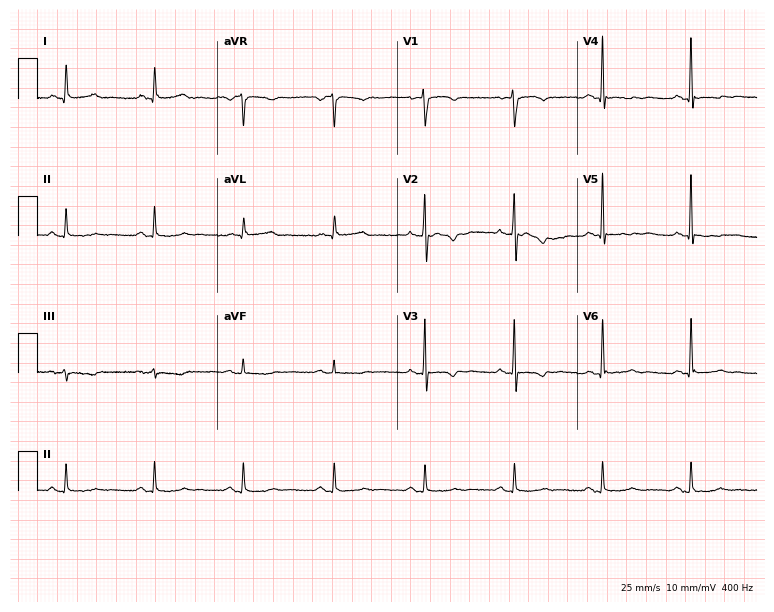
Resting 12-lead electrocardiogram. Patient: a female, 60 years old. None of these six findings is recorded: first-degree AV block, right bundle branch block, left bundle branch block, sinus bradycardia, atrial fibrillation, sinus tachycardia.